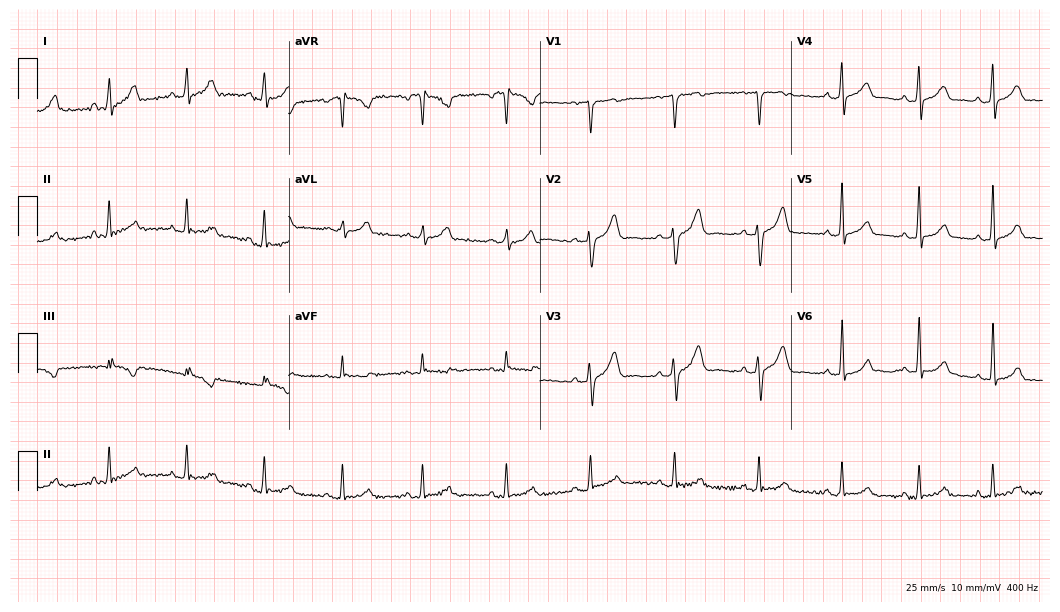
12-lead ECG from a 30-year-old male patient. Recorded interpretation: within normal limits.